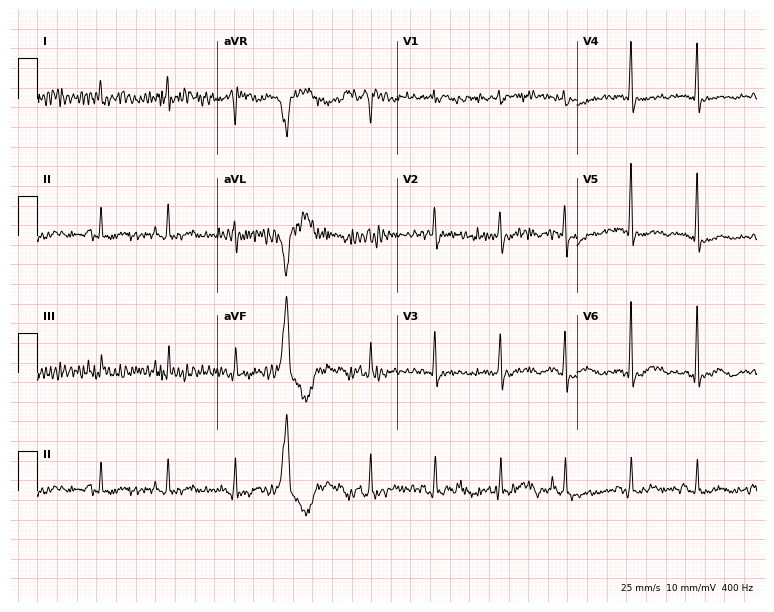
12-lead ECG (7.3-second recording at 400 Hz) from a woman, 59 years old. Screened for six findings — first-degree AV block, right bundle branch block, left bundle branch block, sinus bradycardia, atrial fibrillation, sinus tachycardia — none is recorded. Only these six findings were labelled.